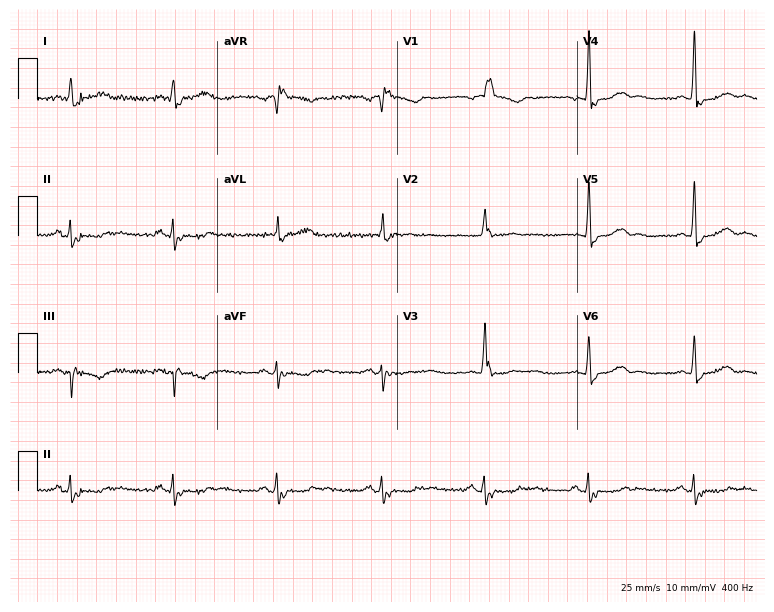
12-lead ECG (7.3-second recording at 400 Hz) from a man, 87 years old. Findings include right bundle branch block.